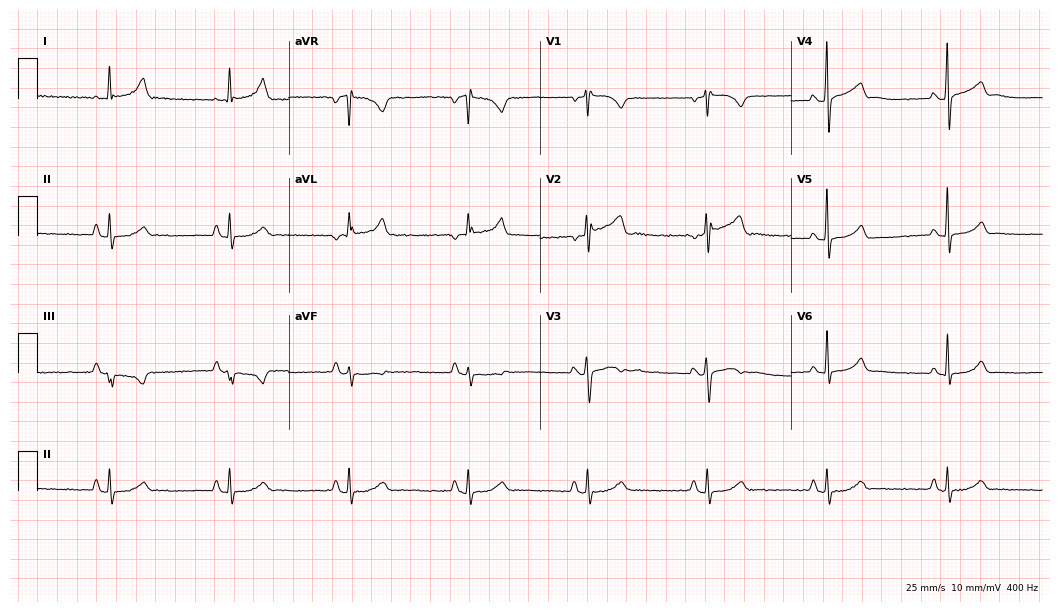
12-lead ECG from a 59-year-old male patient. Screened for six findings — first-degree AV block, right bundle branch block, left bundle branch block, sinus bradycardia, atrial fibrillation, sinus tachycardia — none is recorded.